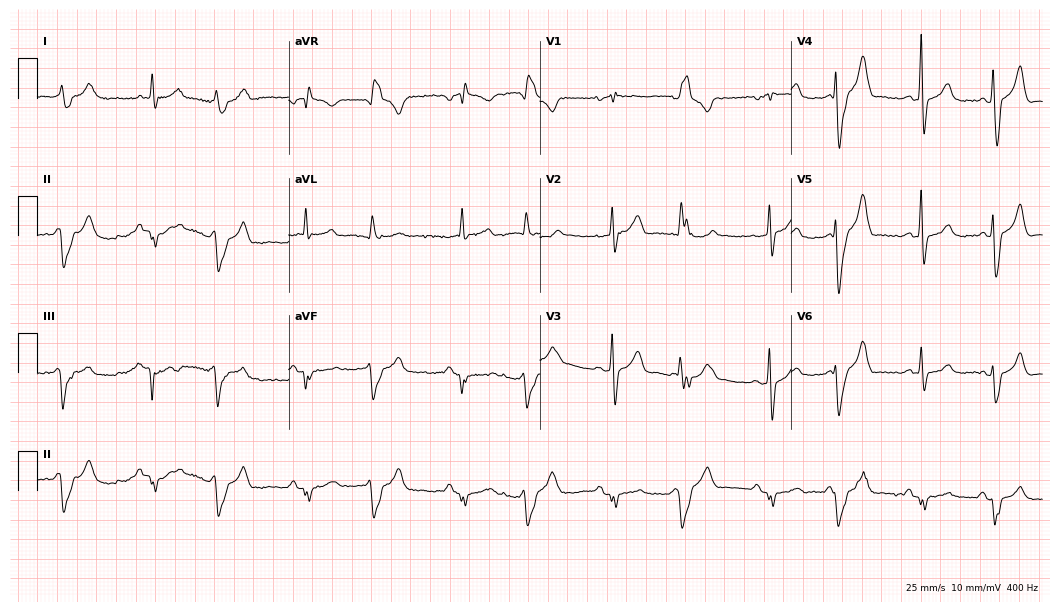
Resting 12-lead electrocardiogram. Patient: a man, 76 years old. None of these six findings is recorded: first-degree AV block, right bundle branch block (RBBB), left bundle branch block (LBBB), sinus bradycardia, atrial fibrillation (AF), sinus tachycardia.